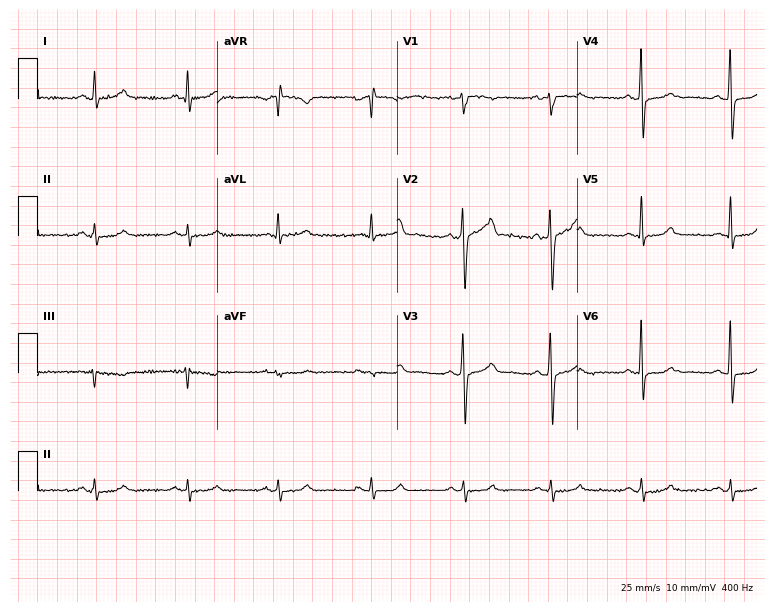
Electrocardiogram (7.3-second recording at 400 Hz), a man, 57 years old. Of the six screened findings (first-degree AV block, right bundle branch block, left bundle branch block, sinus bradycardia, atrial fibrillation, sinus tachycardia), none is recorded. Only these six findings were labelled.